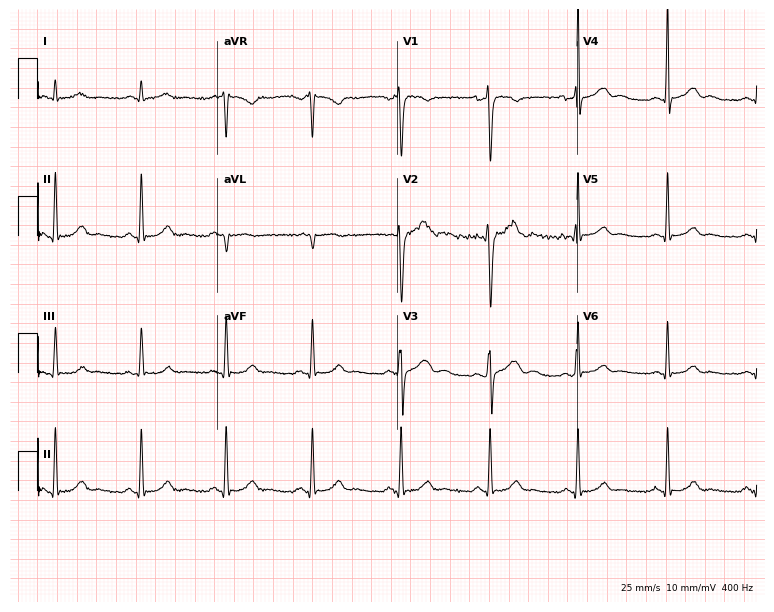
Resting 12-lead electrocardiogram (7.3-second recording at 400 Hz). Patient: a 31-year-old male. Read as a normal ECG.